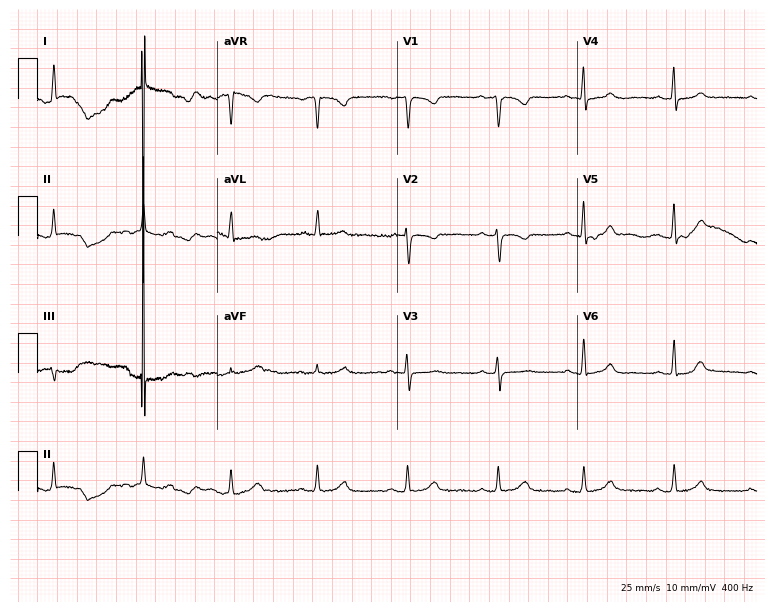
Resting 12-lead electrocardiogram. Patient: a 68-year-old female. None of these six findings is recorded: first-degree AV block, right bundle branch block (RBBB), left bundle branch block (LBBB), sinus bradycardia, atrial fibrillation (AF), sinus tachycardia. Findings outside these six are not listed.